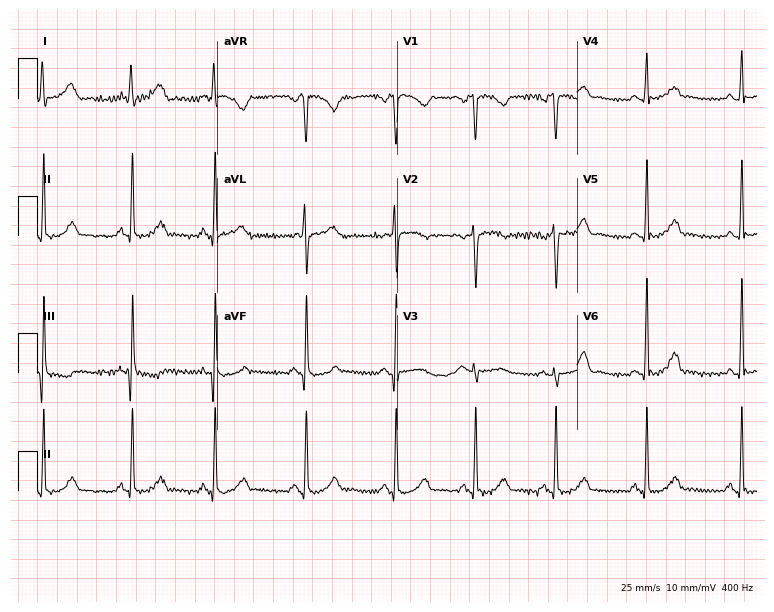
12-lead ECG (7.3-second recording at 400 Hz) from a female patient, 24 years old. Labelled as a normal ECG.